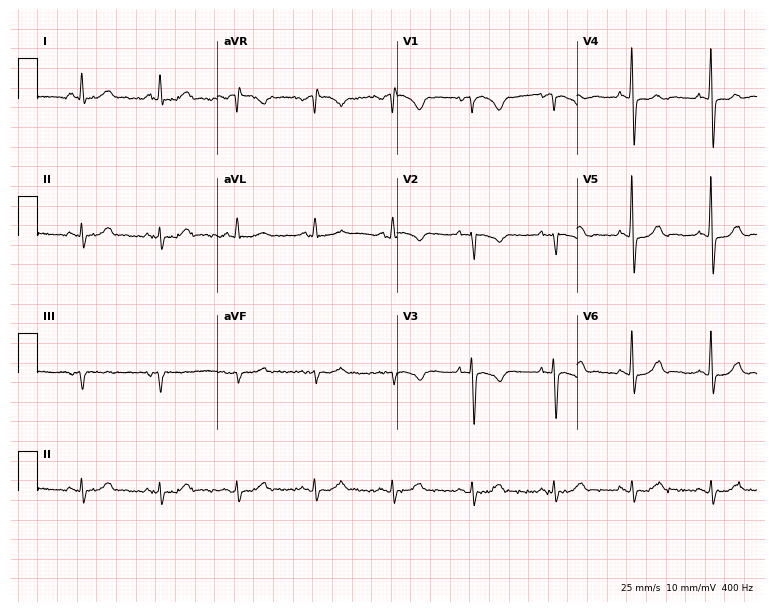
ECG (7.3-second recording at 400 Hz) — a man, 65 years old. Screened for six findings — first-degree AV block, right bundle branch block, left bundle branch block, sinus bradycardia, atrial fibrillation, sinus tachycardia — none is recorded. Other findings, if any, are not listed.